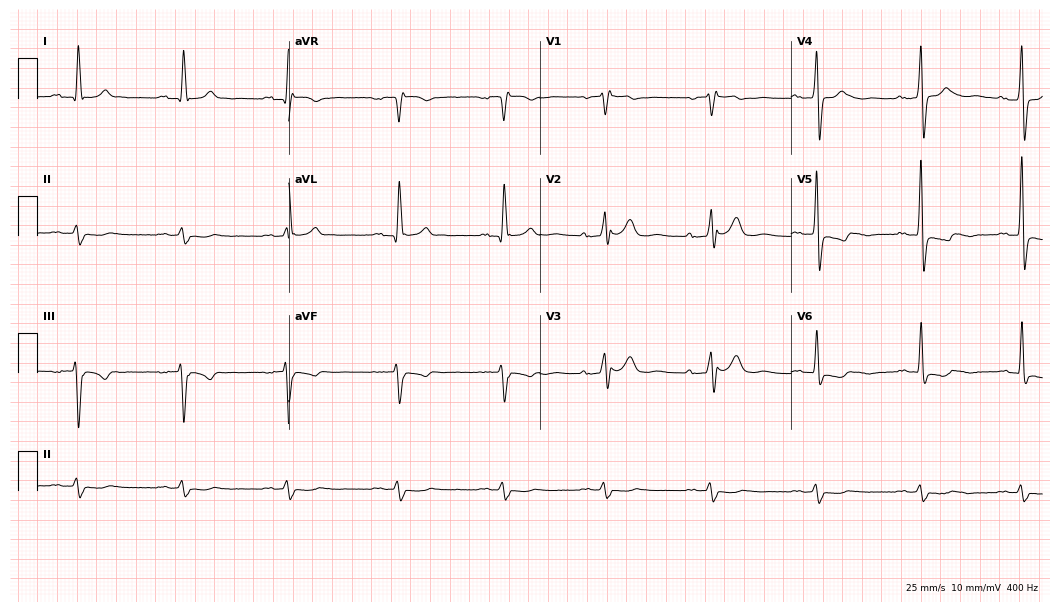
ECG — a 73-year-old man. Screened for six findings — first-degree AV block, right bundle branch block (RBBB), left bundle branch block (LBBB), sinus bradycardia, atrial fibrillation (AF), sinus tachycardia — none is recorded.